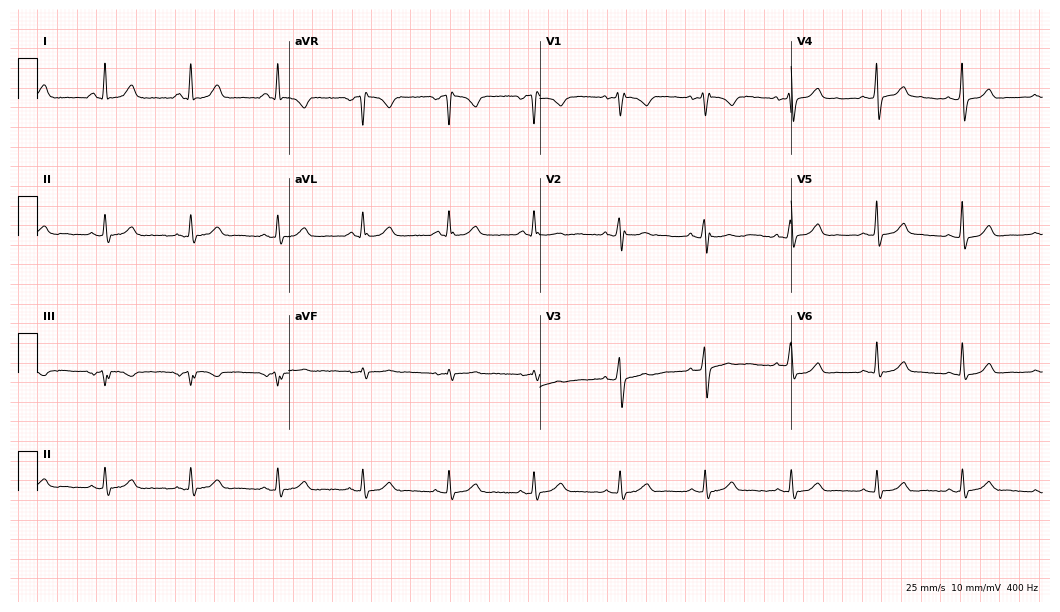
Electrocardiogram (10.2-second recording at 400 Hz), a female, 52 years old. Of the six screened findings (first-degree AV block, right bundle branch block, left bundle branch block, sinus bradycardia, atrial fibrillation, sinus tachycardia), none is recorded.